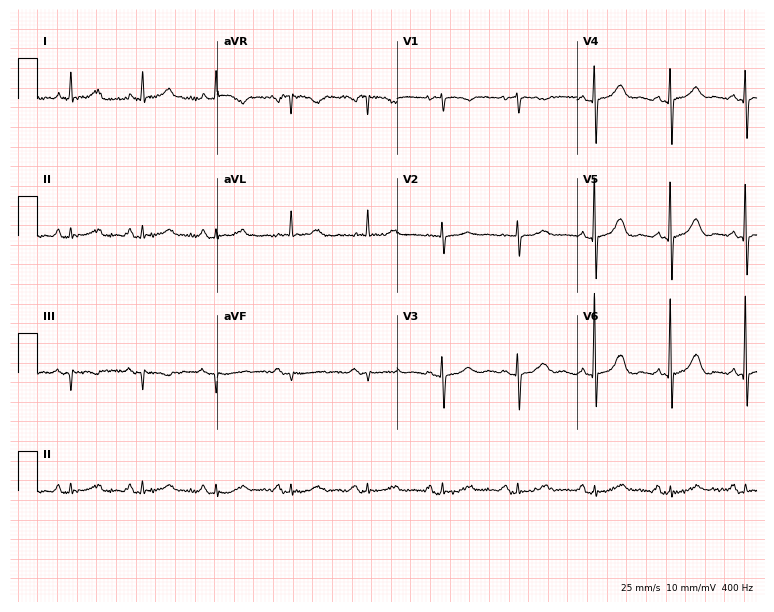
Standard 12-lead ECG recorded from a 68-year-old female patient (7.3-second recording at 400 Hz). None of these six findings is recorded: first-degree AV block, right bundle branch block, left bundle branch block, sinus bradycardia, atrial fibrillation, sinus tachycardia.